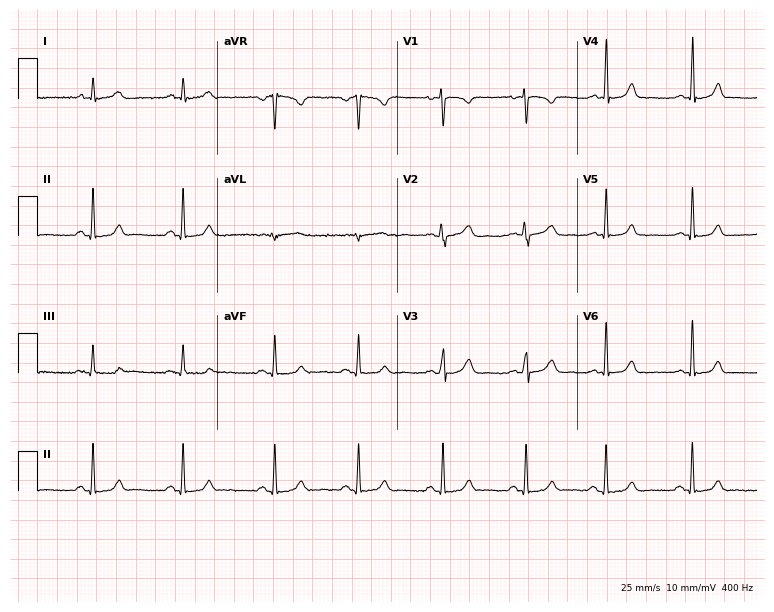
Resting 12-lead electrocardiogram. Patient: a female, 29 years old. Read as a normal ECG.